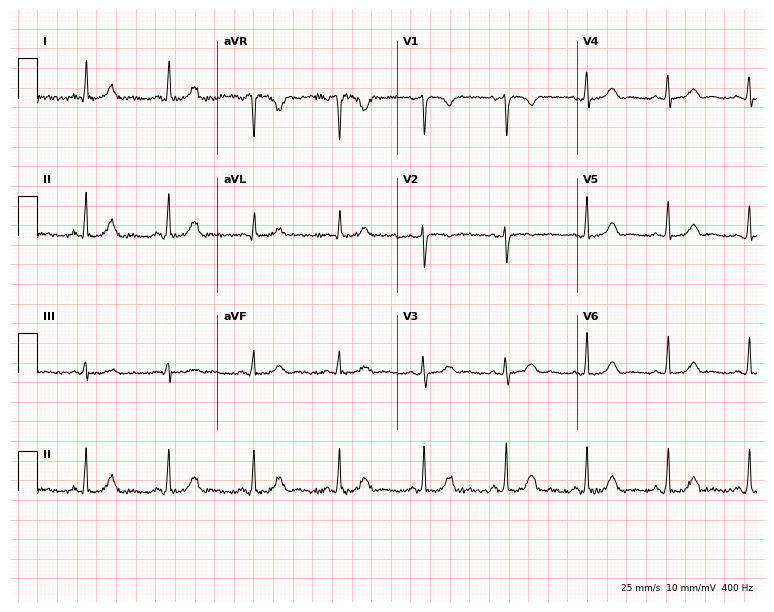
12-lead ECG from a 43-year-old female (7.3-second recording at 400 Hz). Recorded interpretation: within normal limits.